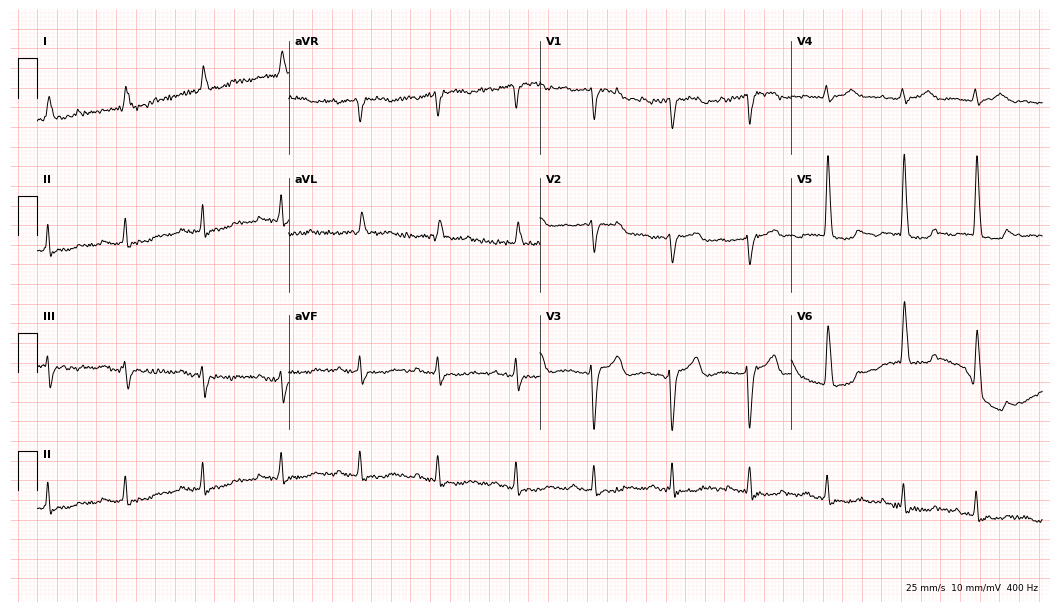
12-lead ECG from a female, 81 years old (10.2-second recording at 400 Hz). No first-degree AV block, right bundle branch block, left bundle branch block, sinus bradycardia, atrial fibrillation or sinus tachycardia recorded for this tracing.